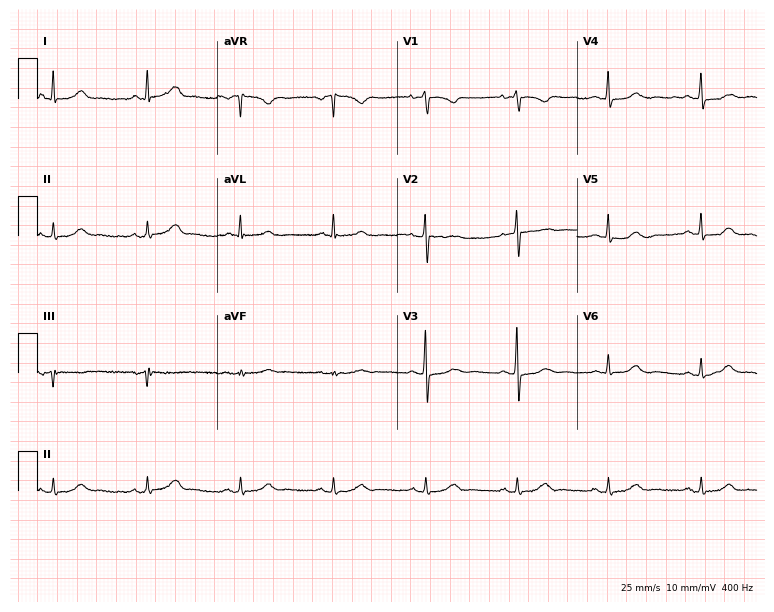
Electrocardiogram, a female, 62 years old. Overall reading on record: normal ECG.